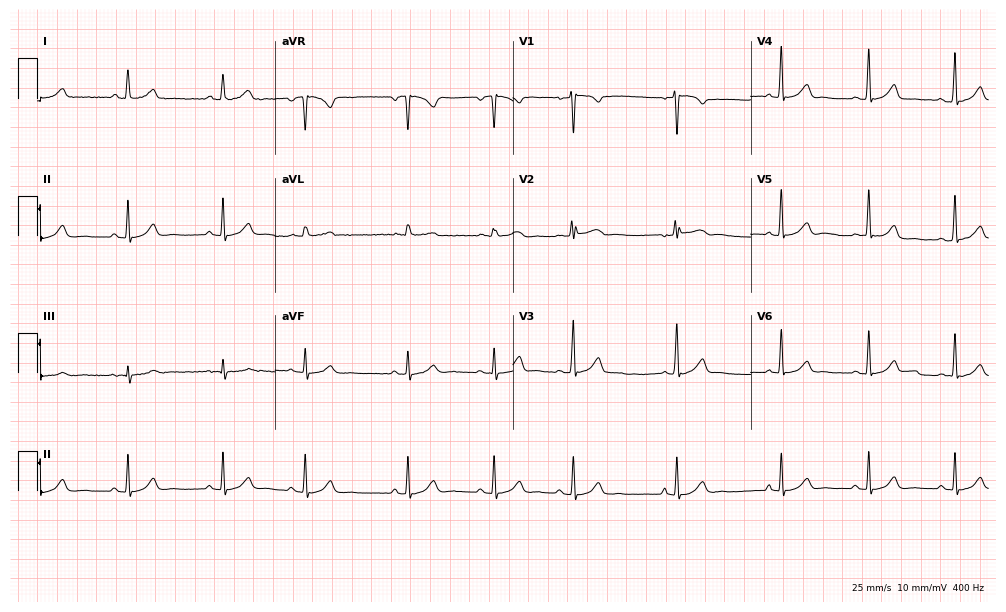
12-lead ECG (9.7-second recording at 400 Hz) from a 24-year-old woman. Labelled as a normal ECG.